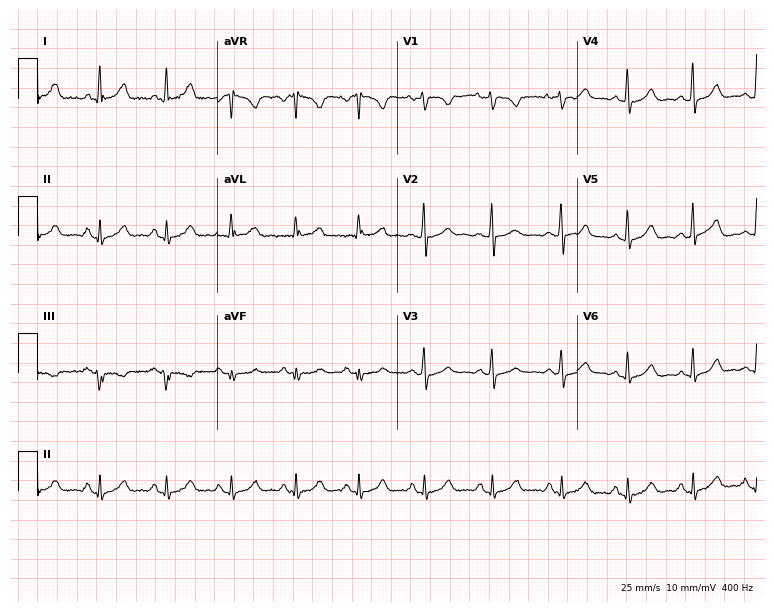
Electrocardiogram (7.3-second recording at 400 Hz), a woman, 45 years old. Overall reading on record: normal ECG.